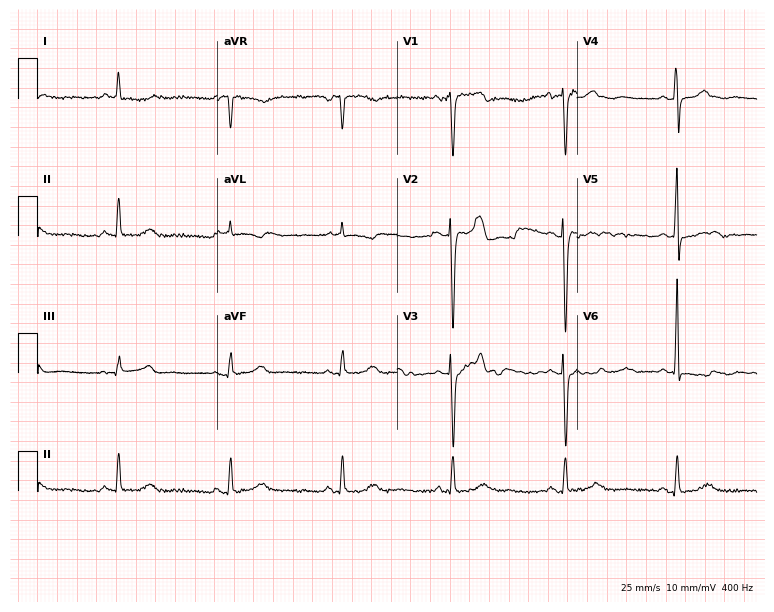
Standard 12-lead ECG recorded from a male patient, 60 years old (7.3-second recording at 400 Hz). None of these six findings is recorded: first-degree AV block, right bundle branch block, left bundle branch block, sinus bradycardia, atrial fibrillation, sinus tachycardia.